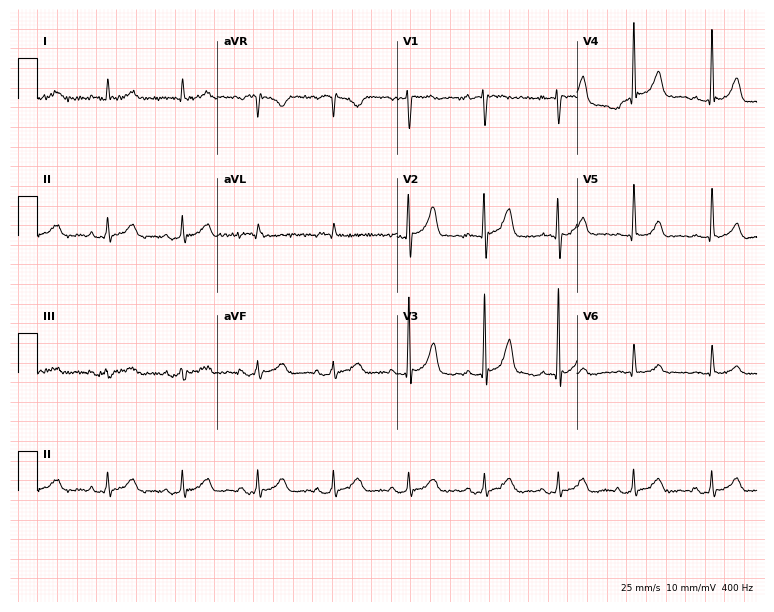
Standard 12-lead ECG recorded from a male, 67 years old (7.3-second recording at 400 Hz). Read as a normal ECG.